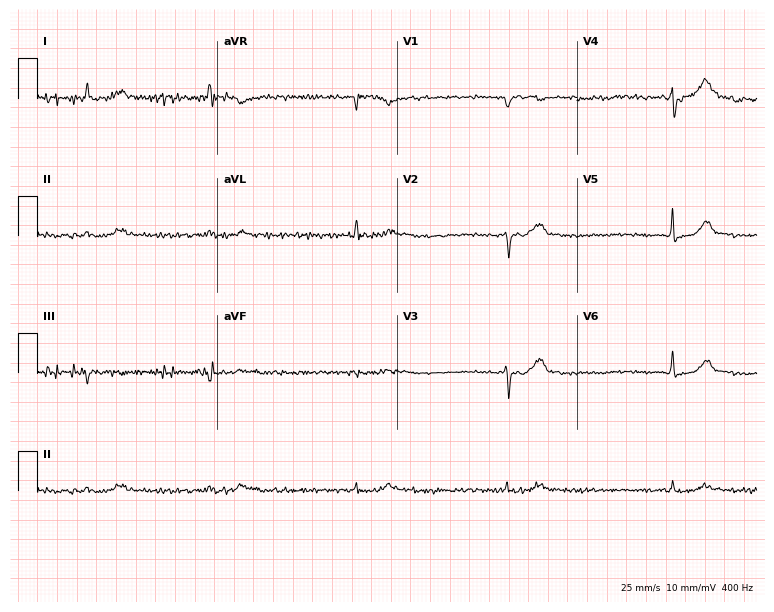
12-lead ECG from a man, 85 years old. Screened for six findings — first-degree AV block, right bundle branch block, left bundle branch block, sinus bradycardia, atrial fibrillation, sinus tachycardia — none is recorded.